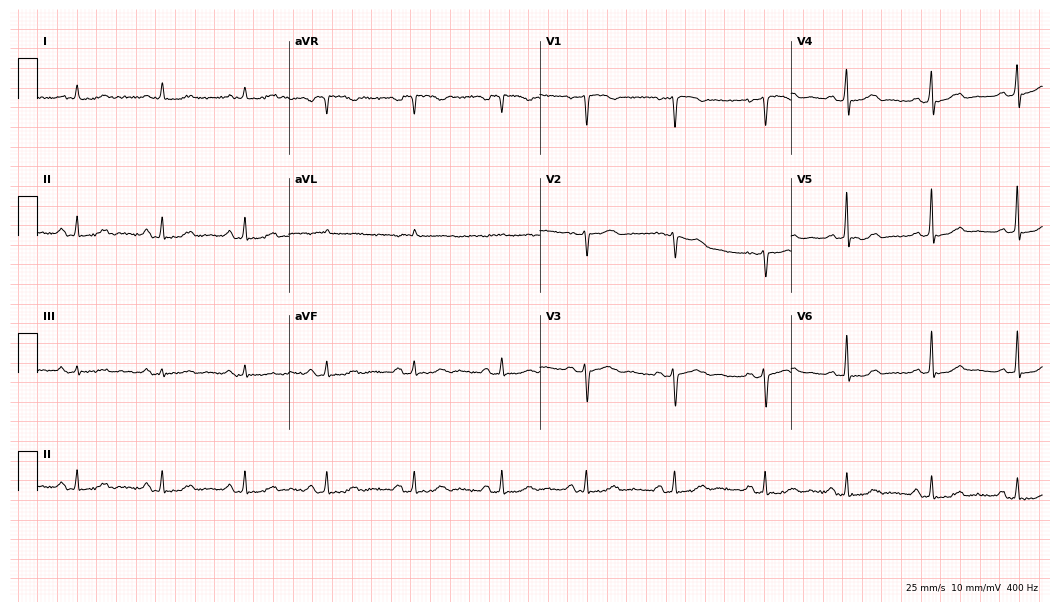
ECG (10.2-second recording at 400 Hz) — a female, 53 years old. Screened for six findings — first-degree AV block, right bundle branch block, left bundle branch block, sinus bradycardia, atrial fibrillation, sinus tachycardia — none is recorded.